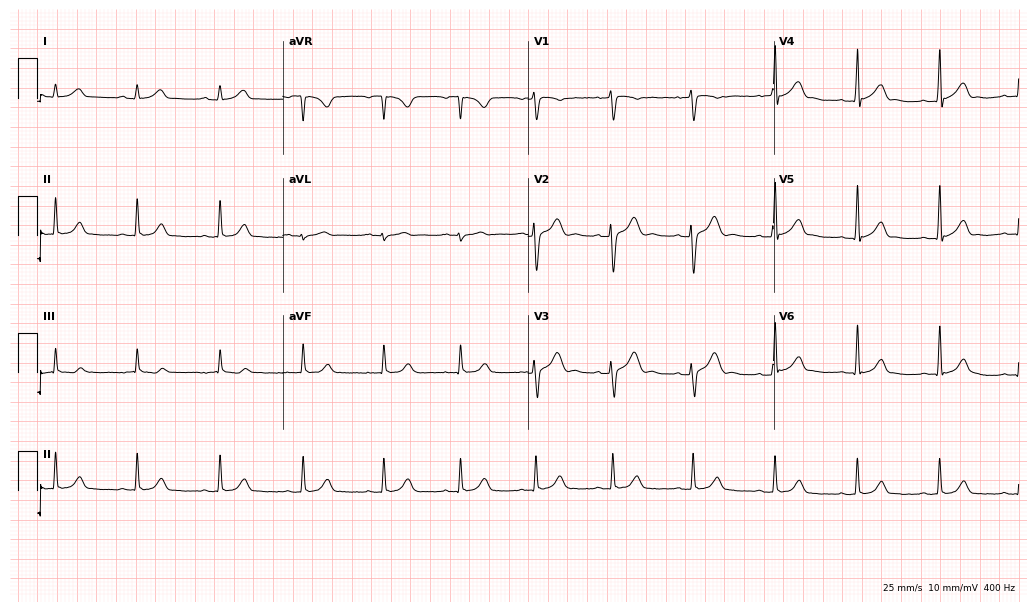
12-lead ECG from a 24-year-old male patient (10-second recording at 400 Hz). No first-degree AV block, right bundle branch block (RBBB), left bundle branch block (LBBB), sinus bradycardia, atrial fibrillation (AF) or sinus tachycardia recorded for this tracing. Other findings, if any, are not listed.